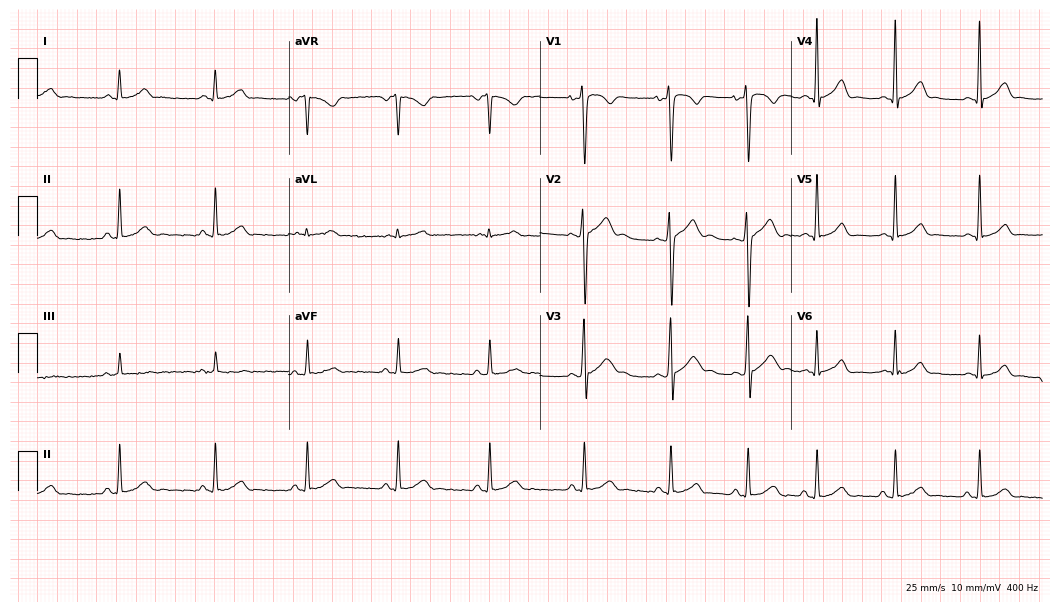
Standard 12-lead ECG recorded from a man, 31 years old (10.2-second recording at 400 Hz). Read as a normal ECG.